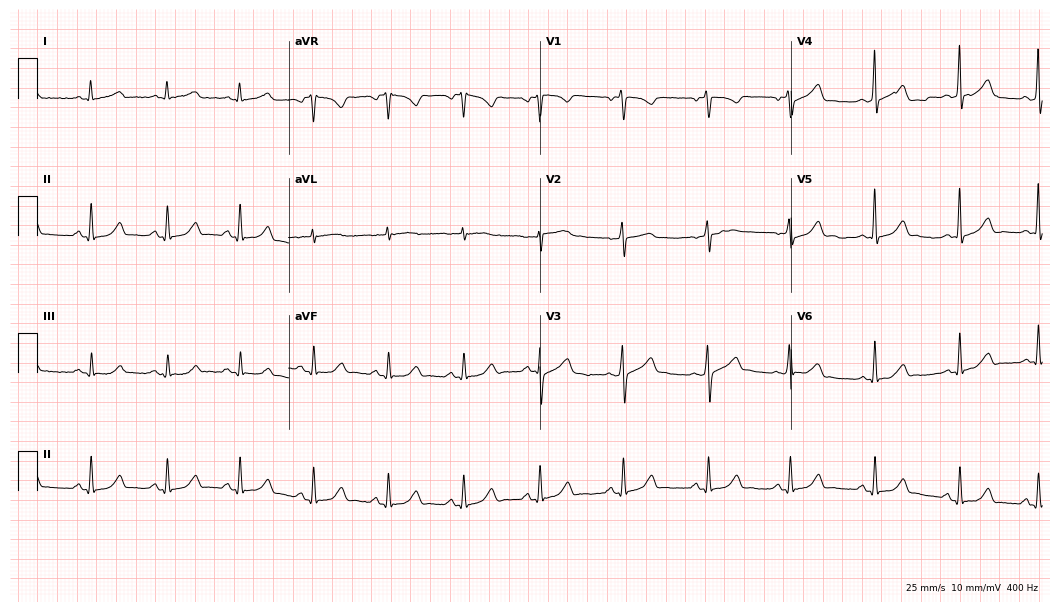
12-lead ECG from a female patient, 22 years old (10.2-second recording at 400 Hz). Recorded interpretation: within normal limits.